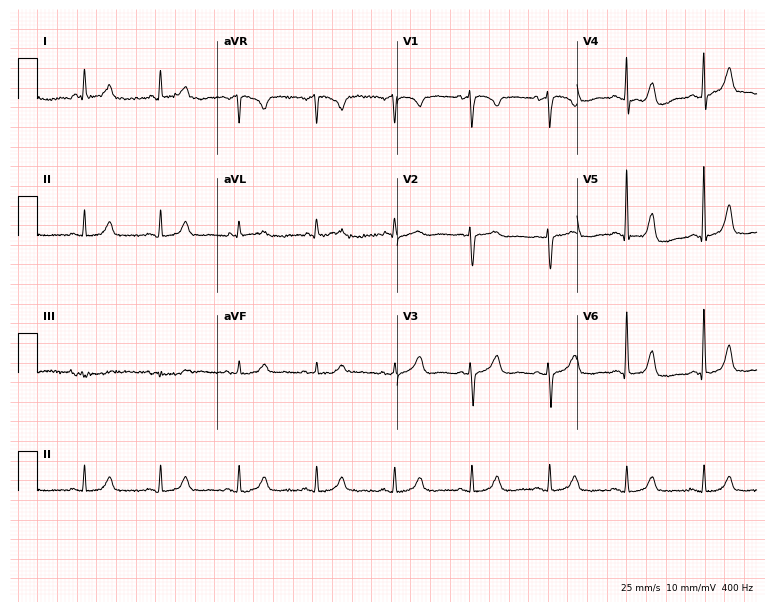
Standard 12-lead ECG recorded from a woman, 69 years old. None of these six findings is recorded: first-degree AV block, right bundle branch block (RBBB), left bundle branch block (LBBB), sinus bradycardia, atrial fibrillation (AF), sinus tachycardia. Only these six findings were labelled.